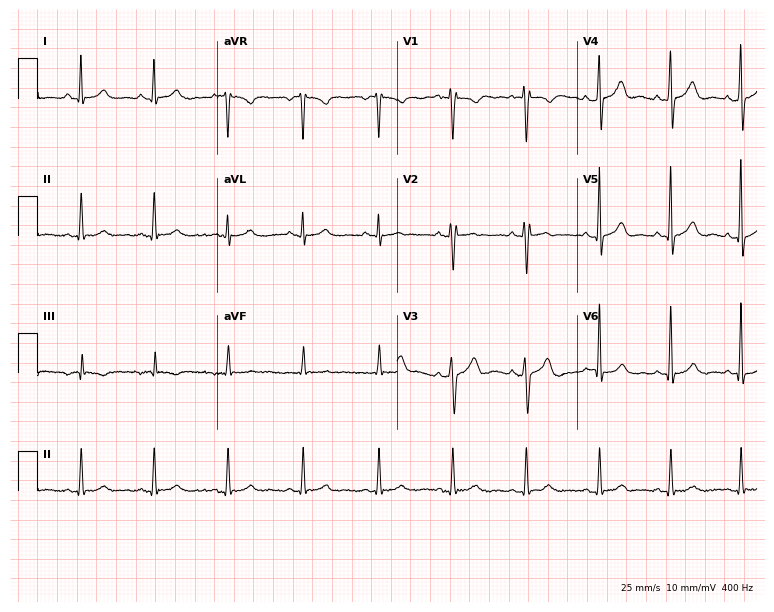
ECG — a male patient, 31 years old. Screened for six findings — first-degree AV block, right bundle branch block, left bundle branch block, sinus bradycardia, atrial fibrillation, sinus tachycardia — none is recorded.